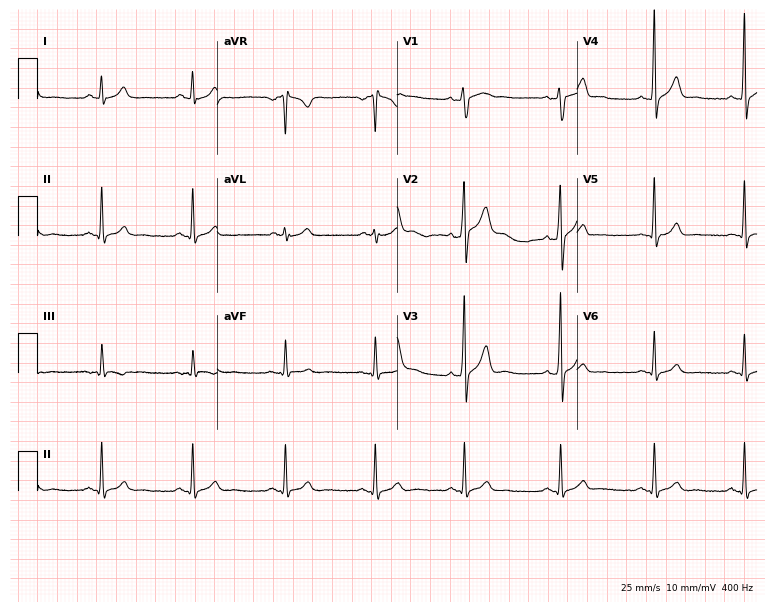
ECG (7.3-second recording at 400 Hz) — a male patient, 30 years old. Labelled as a normal ECG.